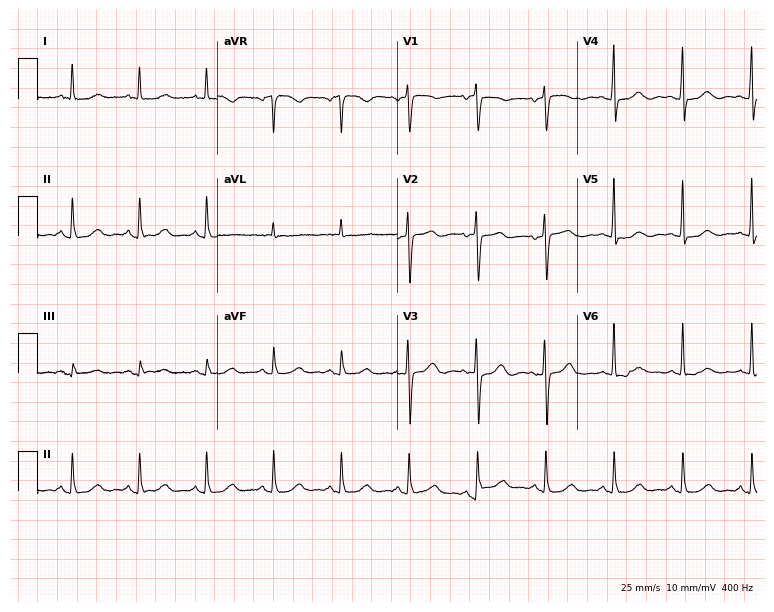
12-lead ECG from a 66-year-old woman. Screened for six findings — first-degree AV block, right bundle branch block, left bundle branch block, sinus bradycardia, atrial fibrillation, sinus tachycardia — none is recorded. Findings outside these six are not listed.